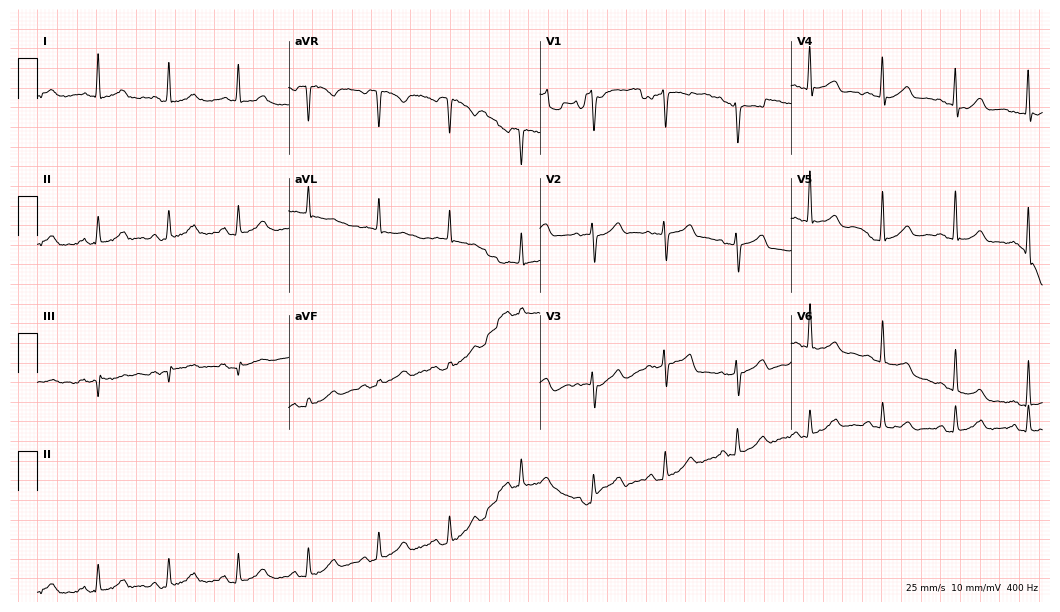
12-lead ECG from a 64-year-old male patient (10.2-second recording at 400 Hz). No first-degree AV block, right bundle branch block (RBBB), left bundle branch block (LBBB), sinus bradycardia, atrial fibrillation (AF) or sinus tachycardia recorded for this tracing. Findings outside these six are not listed.